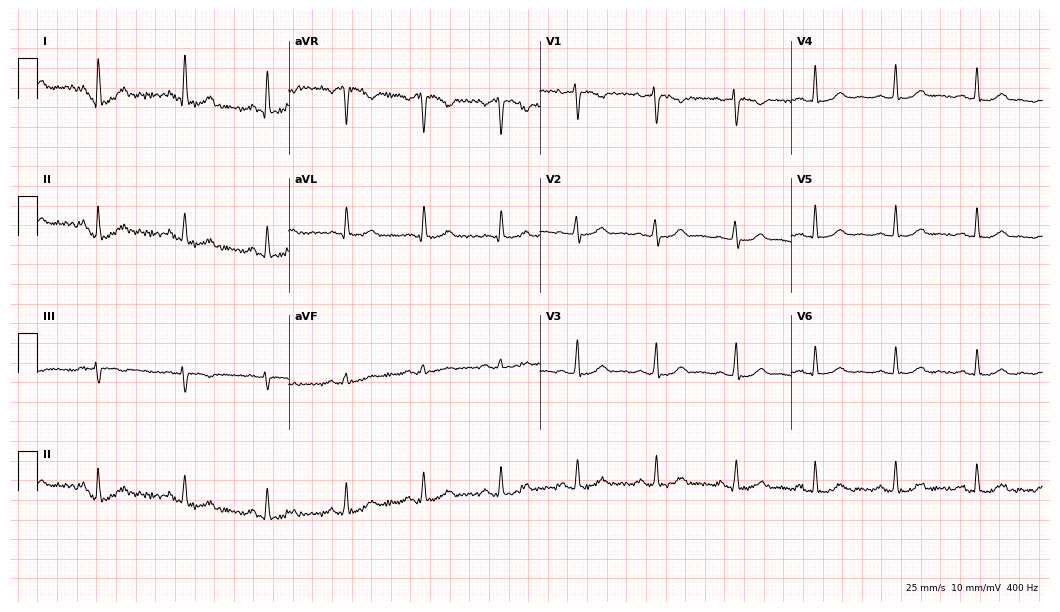
12-lead ECG from a female, 45 years old. No first-degree AV block, right bundle branch block (RBBB), left bundle branch block (LBBB), sinus bradycardia, atrial fibrillation (AF) or sinus tachycardia recorded for this tracing.